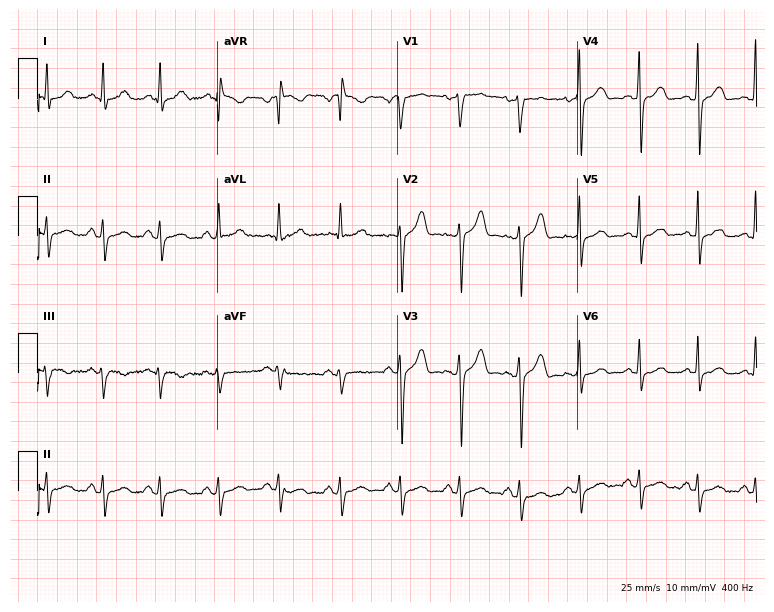
12-lead ECG (7.3-second recording at 400 Hz) from a man, 39 years old. Screened for six findings — first-degree AV block, right bundle branch block, left bundle branch block, sinus bradycardia, atrial fibrillation, sinus tachycardia — none is recorded. Only these six findings were labelled.